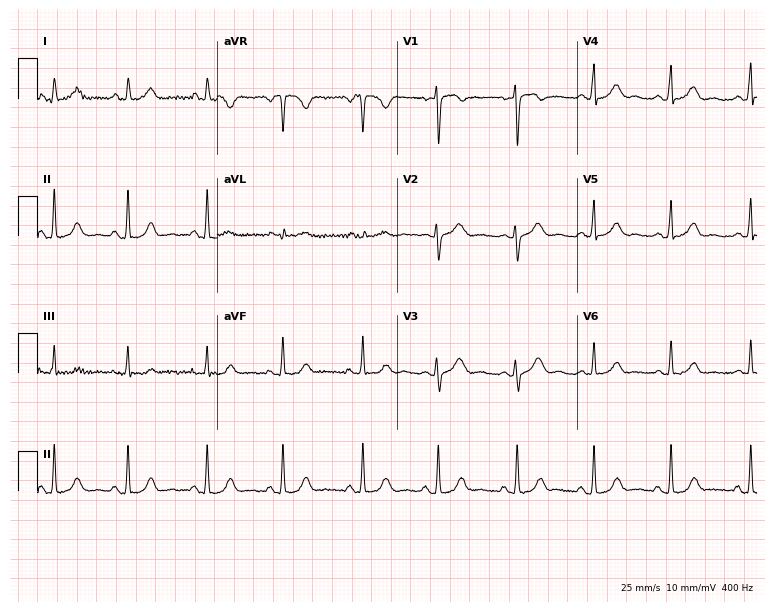
12-lead ECG (7.3-second recording at 400 Hz) from a female patient, 20 years old. Screened for six findings — first-degree AV block, right bundle branch block, left bundle branch block, sinus bradycardia, atrial fibrillation, sinus tachycardia — none is recorded.